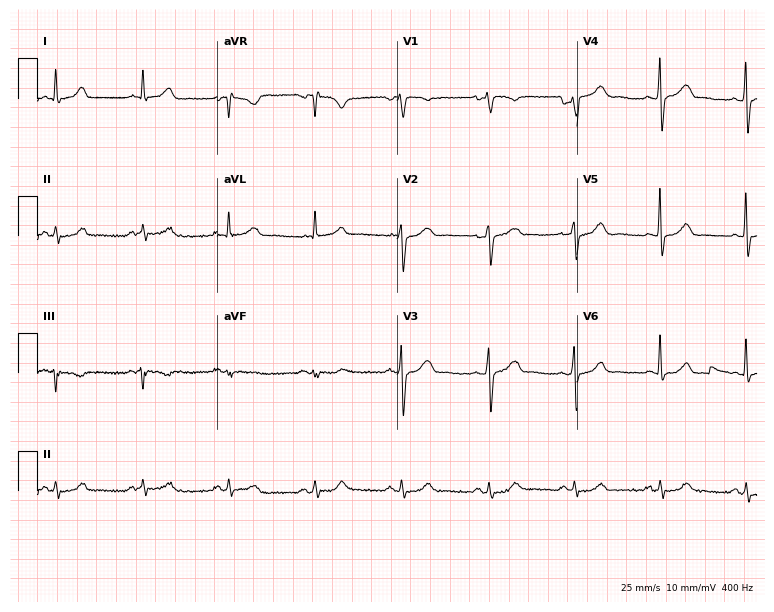
Resting 12-lead electrocardiogram. Patient: a man, 52 years old. Read as a normal ECG.